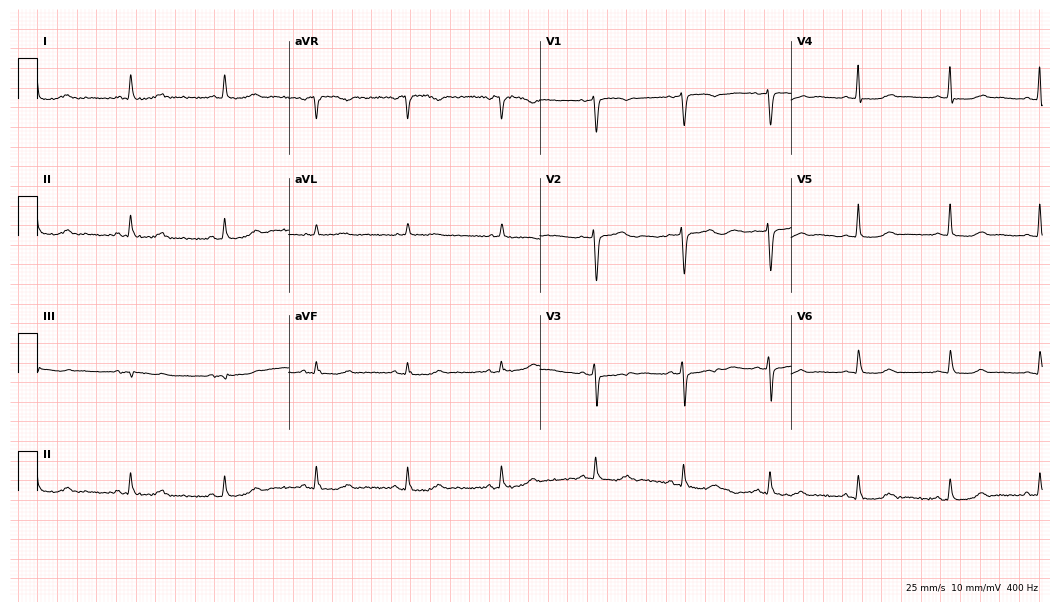
12-lead ECG from a female, 63 years old. No first-degree AV block, right bundle branch block (RBBB), left bundle branch block (LBBB), sinus bradycardia, atrial fibrillation (AF) or sinus tachycardia recorded for this tracing. Findings outside these six are not listed.